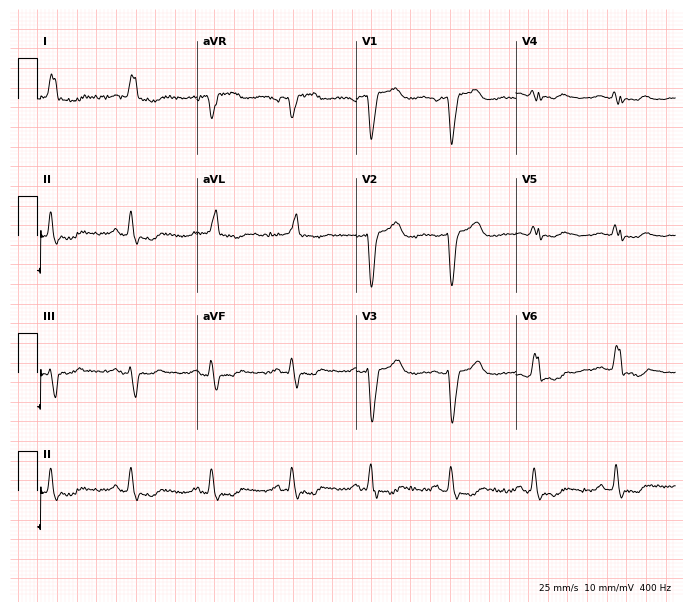
12-lead ECG from an 83-year-old female patient (6.5-second recording at 400 Hz). No first-degree AV block, right bundle branch block, left bundle branch block, sinus bradycardia, atrial fibrillation or sinus tachycardia recorded for this tracing. Only these six findings were labelled.